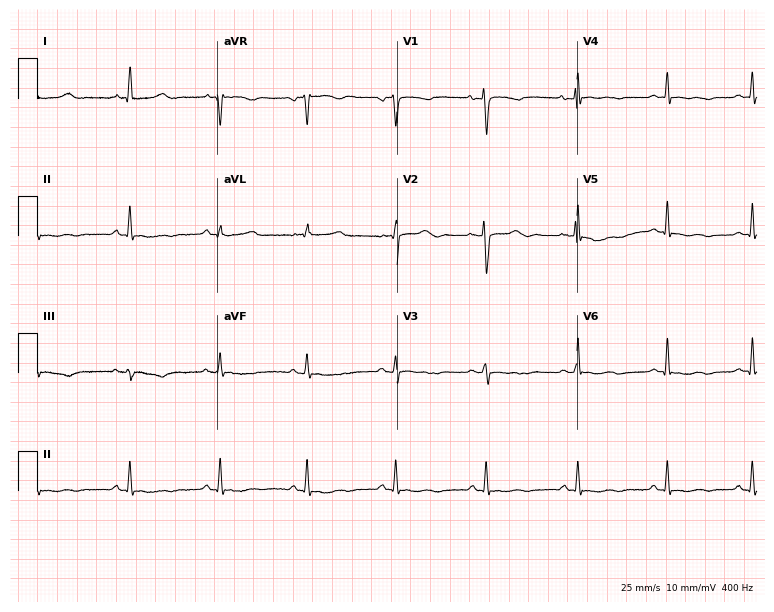
12-lead ECG (7.3-second recording at 400 Hz) from a female patient, 52 years old. Screened for six findings — first-degree AV block, right bundle branch block, left bundle branch block, sinus bradycardia, atrial fibrillation, sinus tachycardia — none is recorded.